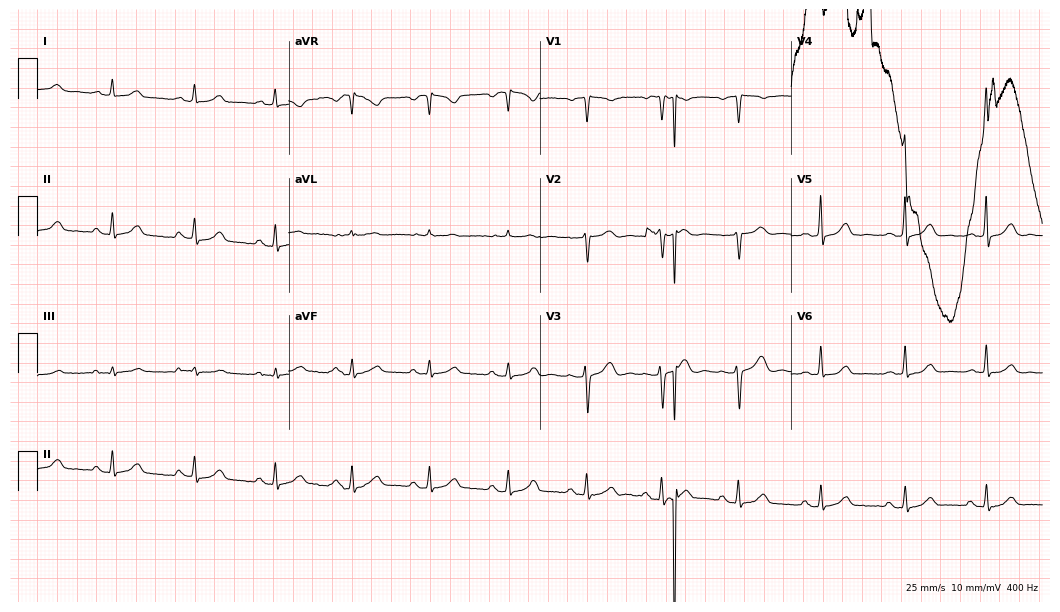
12-lead ECG from a 47-year-old female. No first-degree AV block, right bundle branch block, left bundle branch block, sinus bradycardia, atrial fibrillation or sinus tachycardia recorded for this tracing. Findings outside these six are not listed.